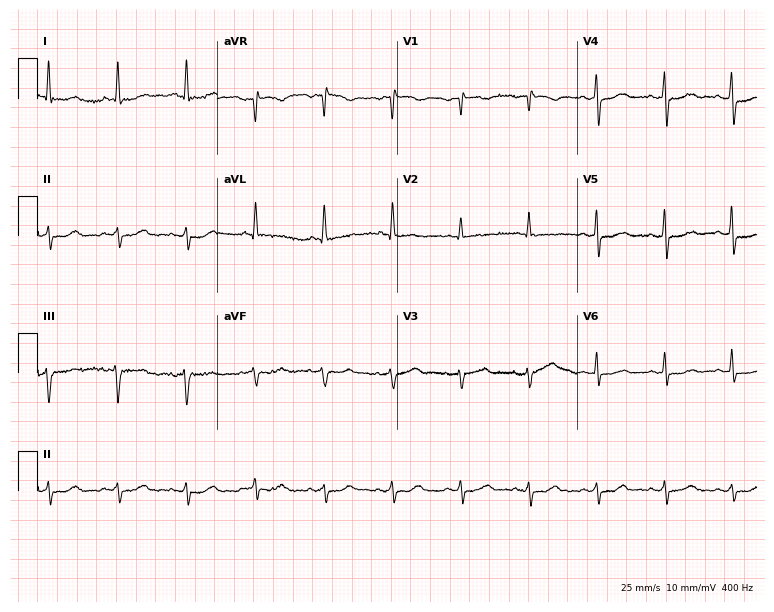
Electrocardiogram (7.3-second recording at 400 Hz), a 62-year-old female patient. Of the six screened findings (first-degree AV block, right bundle branch block, left bundle branch block, sinus bradycardia, atrial fibrillation, sinus tachycardia), none is recorded. Other findings, if any, are not listed.